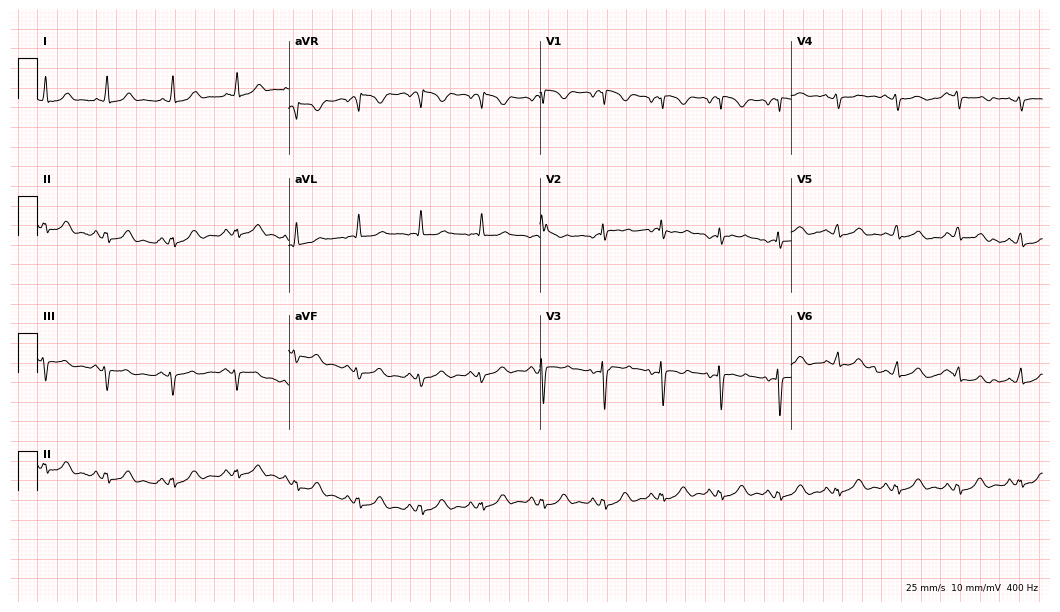
12-lead ECG from a 40-year-old female patient. Labelled as a normal ECG.